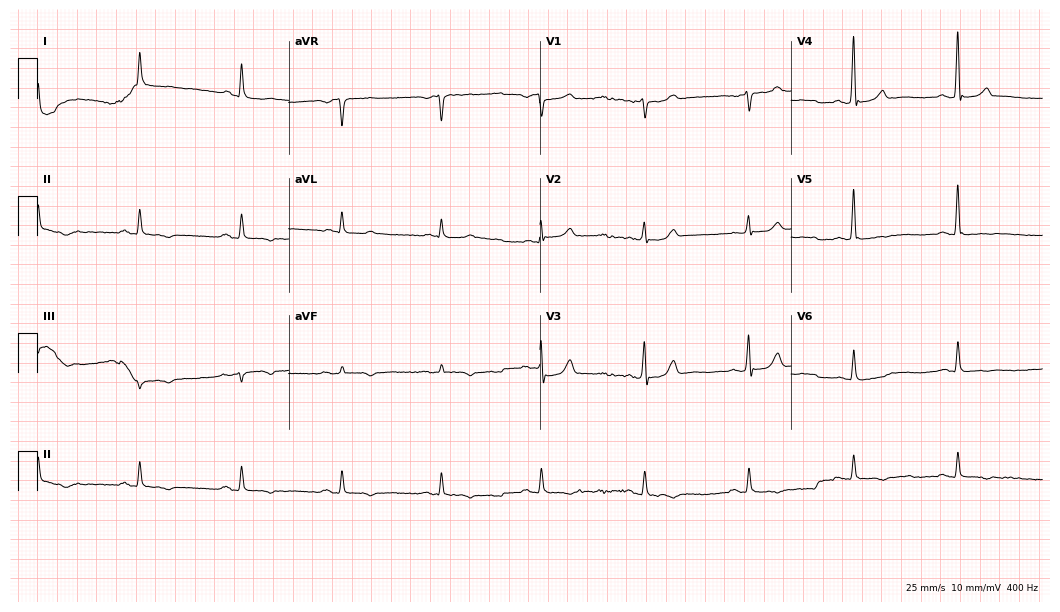
Standard 12-lead ECG recorded from a 61-year-old male (10.2-second recording at 400 Hz). Read as a normal ECG.